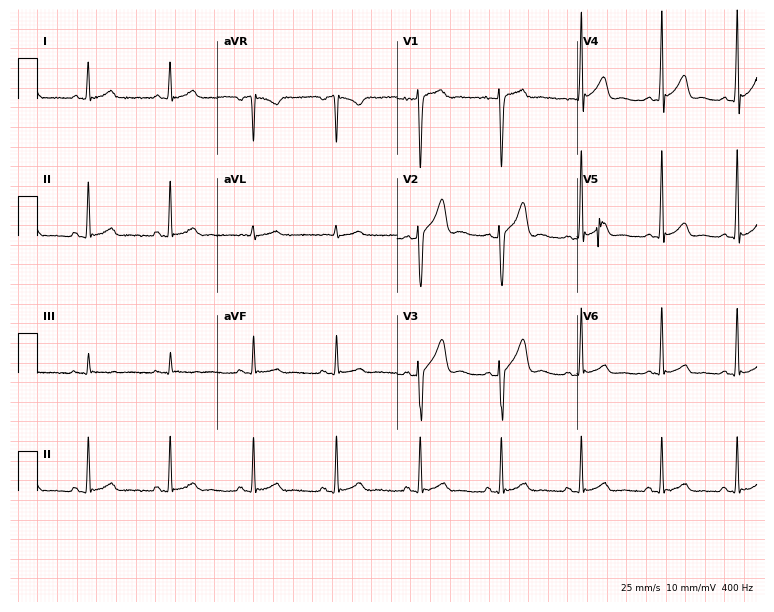
12-lead ECG from a 38-year-old man. No first-degree AV block, right bundle branch block, left bundle branch block, sinus bradycardia, atrial fibrillation or sinus tachycardia recorded for this tracing.